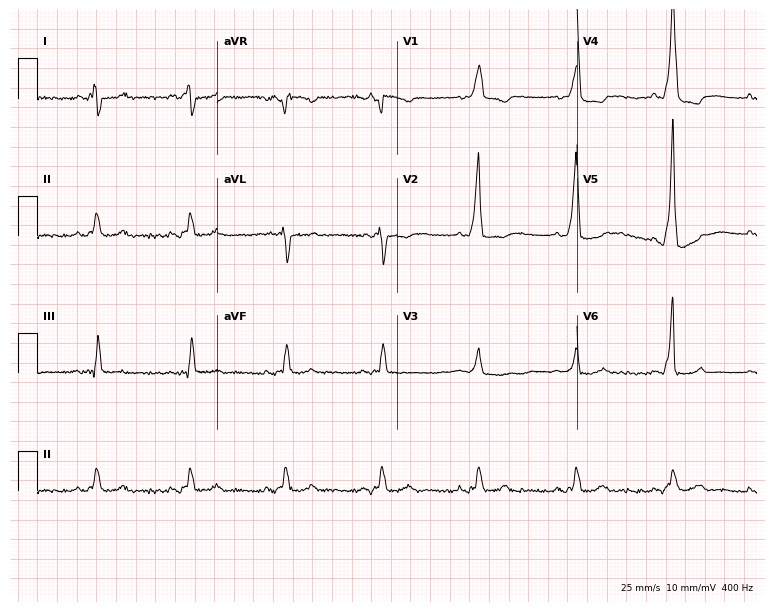
12-lead ECG from a 77-year-old man (7.3-second recording at 400 Hz). No first-degree AV block, right bundle branch block, left bundle branch block, sinus bradycardia, atrial fibrillation or sinus tachycardia recorded for this tracing.